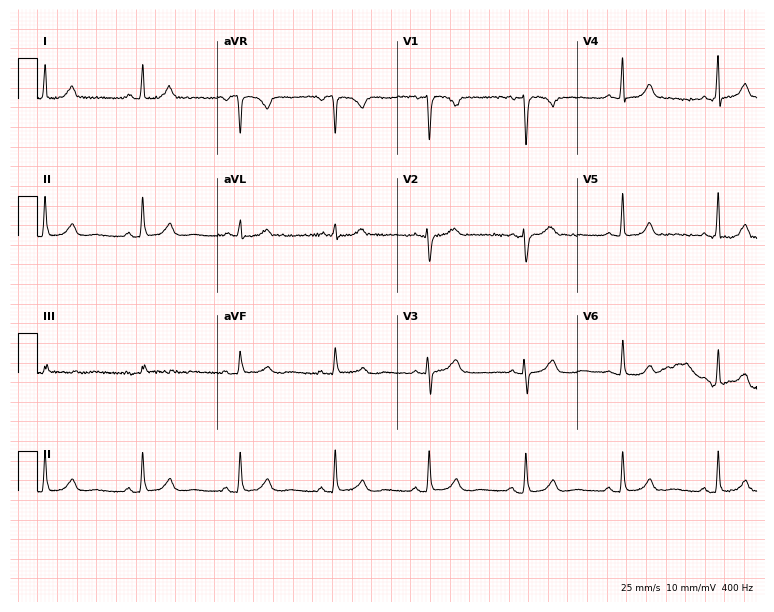
12-lead ECG (7.3-second recording at 400 Hz) from a 55-year-old female patient. Labelled as a normal ECG.